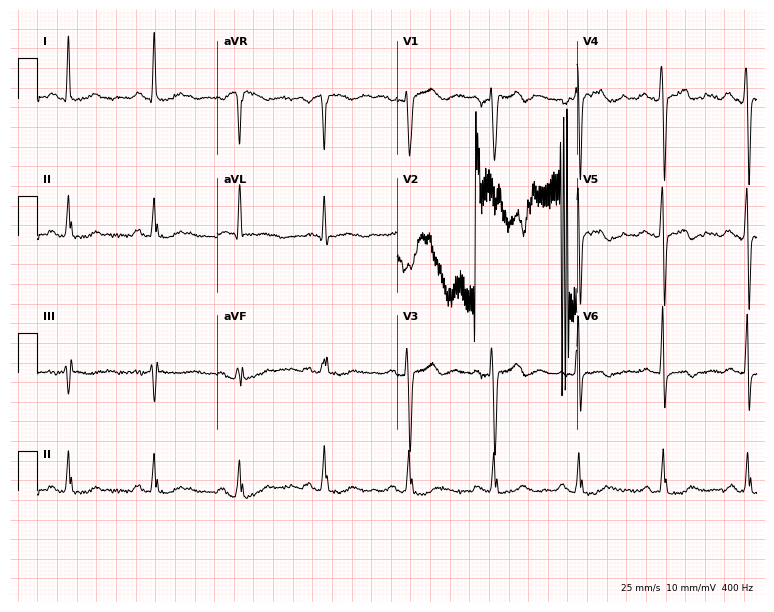
Resting 12-lead electrocardiogram. Patient: a 71-year-old man. Read as a normal ECG.